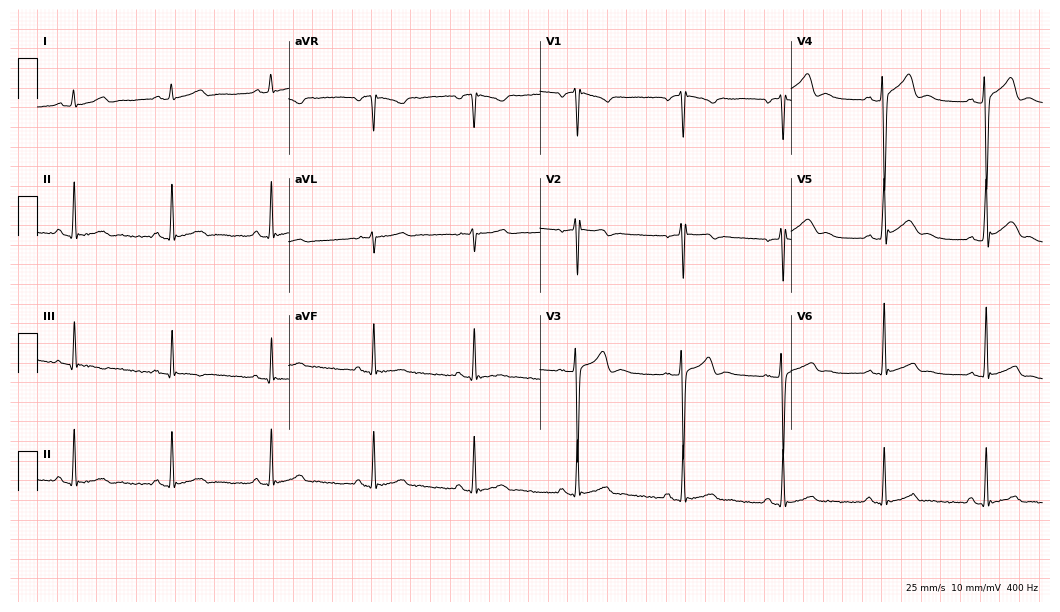
12-lead ECG (10.2-second recording at 400 Hz) from a 31-year-old male patient. Labelled as a normal ECG.